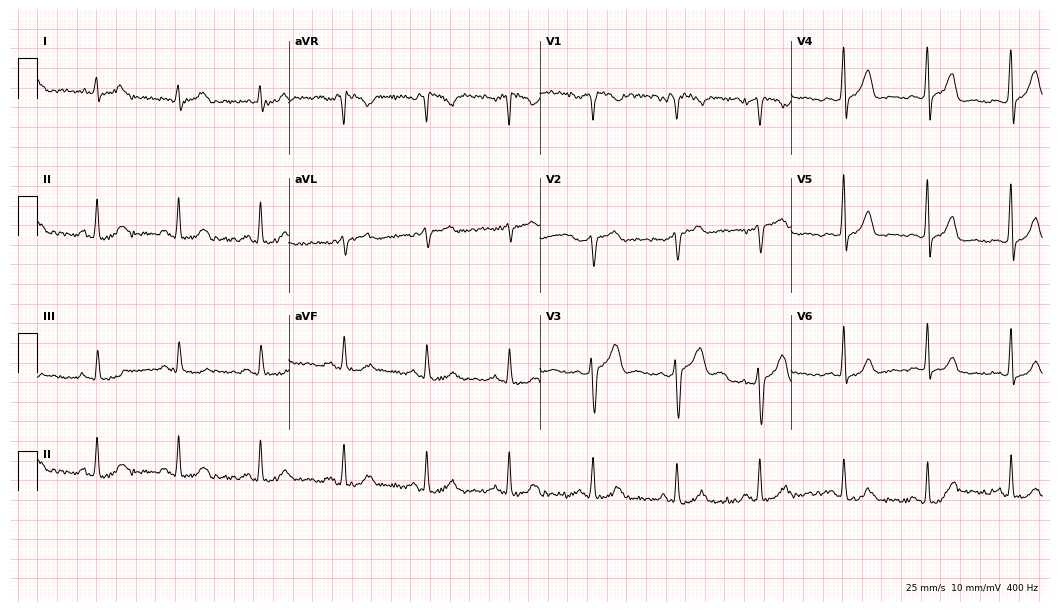
Standard 12-lead ECG recorded from a 42-year-old male (10.2-second recording at 400 Hz). None of these six findings is recorded: first-degree AV block, right bundle branch block, left bundle branch block, sinus bradycardia, atrial fibrillation, sinus tachycardia. Findings outside these six are not listed.